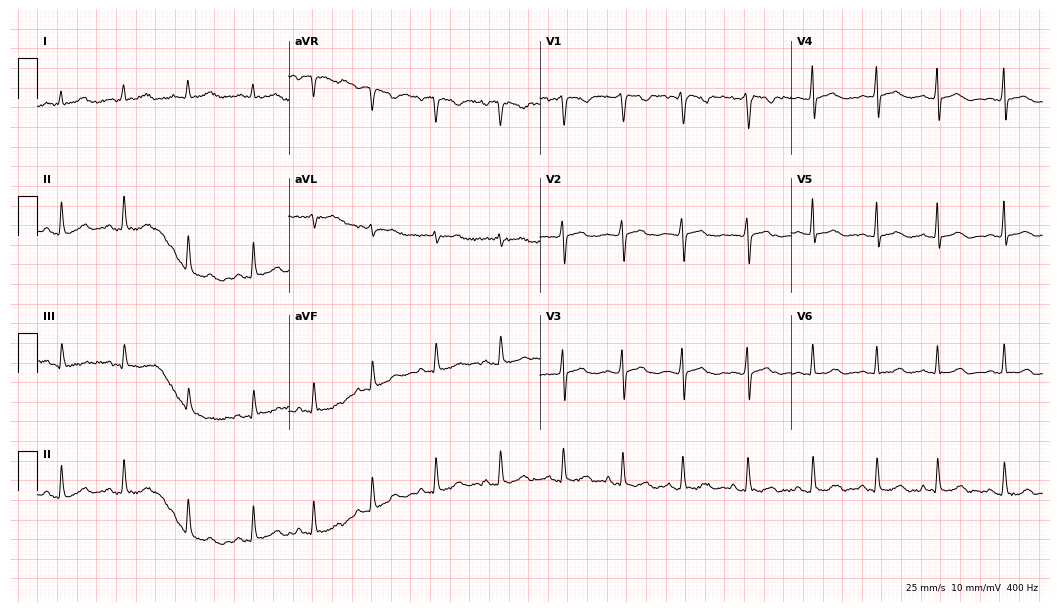
ECG — a 43-year-old female patient. Screened for six findings — first-degree AV block, right bundle branch block, left bundle branch block, sinus bradycardia, atrial fibrillation, sinus tachycardia — none is recorded.